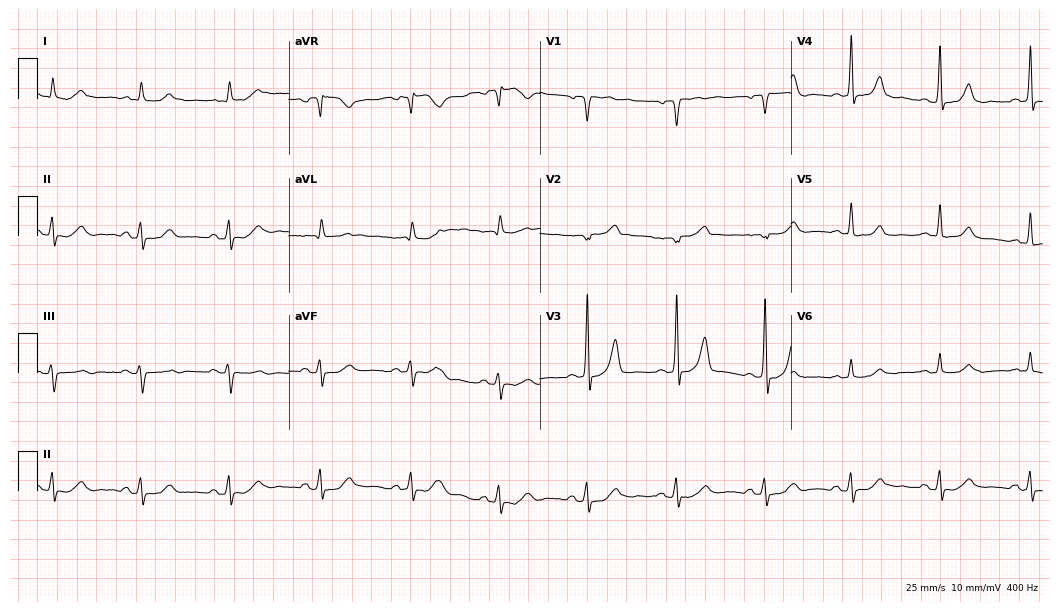
ECG (10.2-second recording at 400 Hz) — a male, 55 years old. Labelled as a normal ECG.